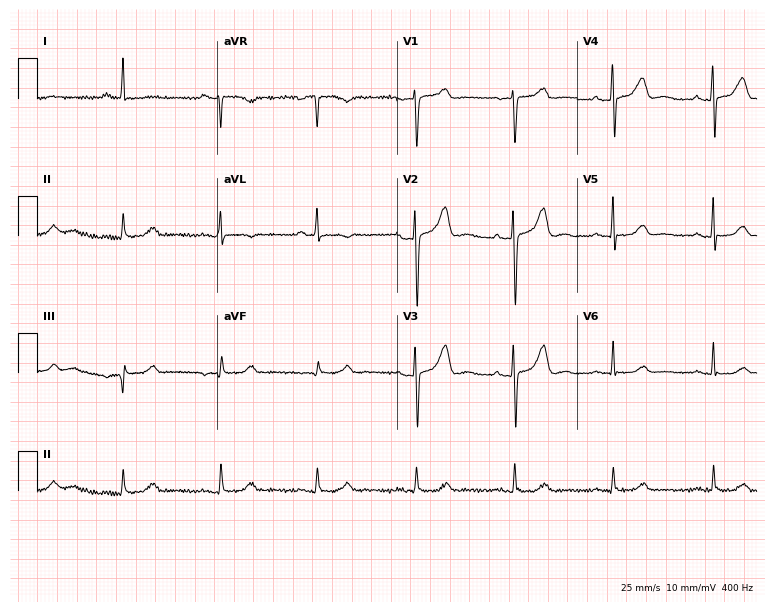
ECG (7.3-second recording at 400 Hz) — a female patient, 64 years old. Labelled as a normal ECG.